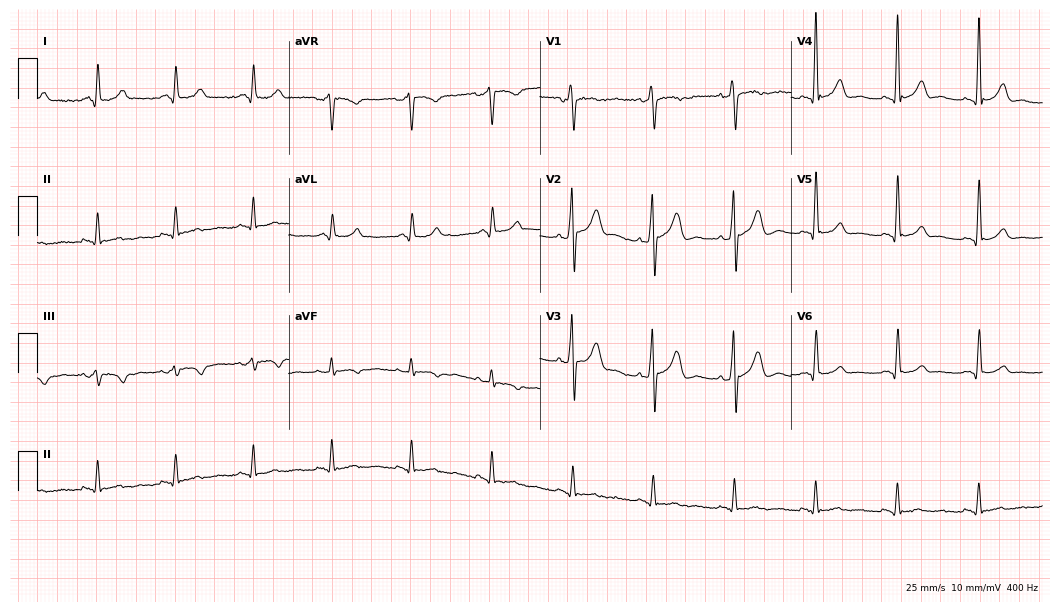
Resting 12-lead electrocardiogram. Patient: a man, 57 years old. None of these six findings is recorded: first-degree AV block, right bundle branch block (RBBB), left bundle branch block (LBBB), sinus bradycardia, atrial fibrillation (AF), sinus tachycardia. Findings outside these six are not listed.